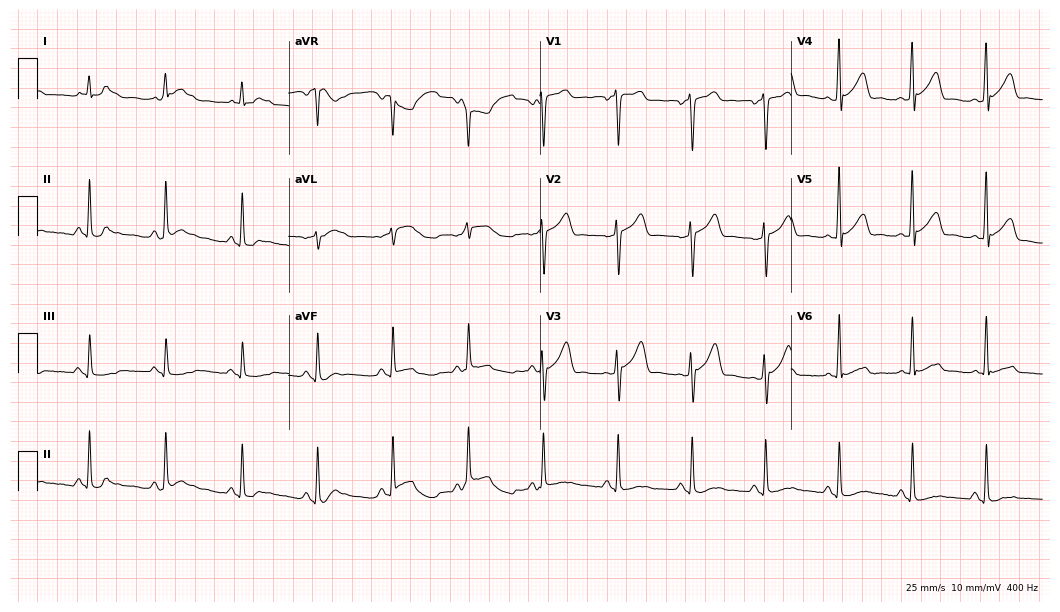
ECG (10.2-second recording at 400 Hz) — a 52-year-old man. Labelled as a normal ECG.